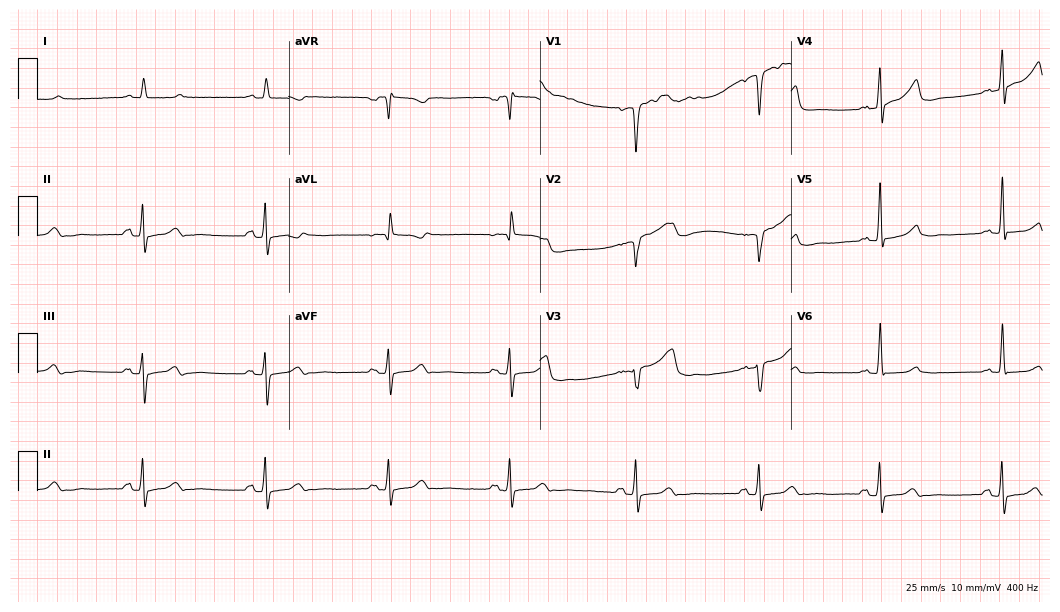
Standard 12-lead ECG recorded from a male patient, 85 years old. None of these six findings is recorded: first-degree AV block, right bundle branch block (RBBB), left bundle branch block (LBBB), sinus bradycardia, atrial fibrillation (AF), sinus tachycardia.